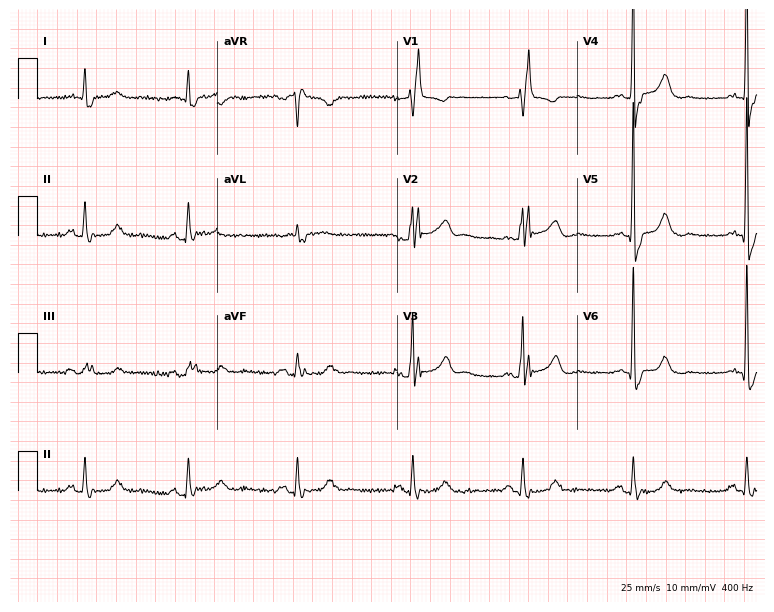
12-lead ECG (7.3-second recording at 400 Hz) from a 74-year-old man. Findings include right bundle branch block.